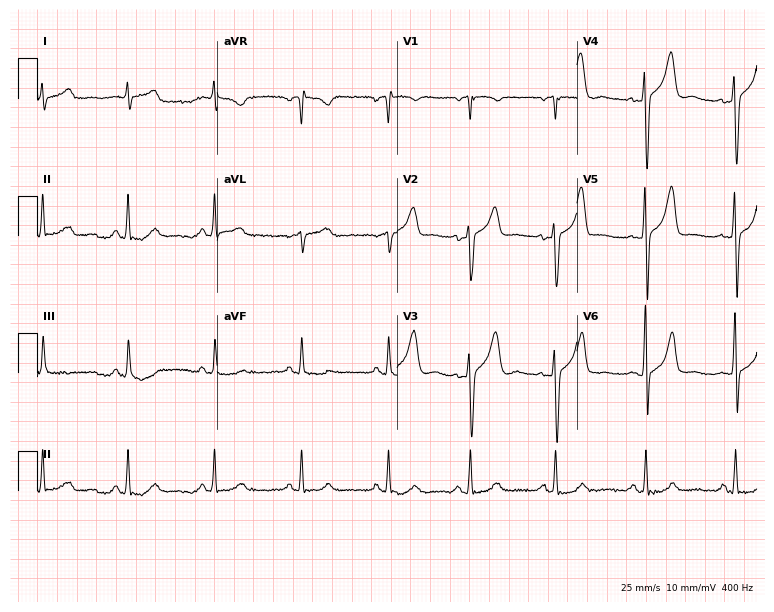
12-lead ECG from a 54-year-old man. Recorded interpretation: within normal limits.